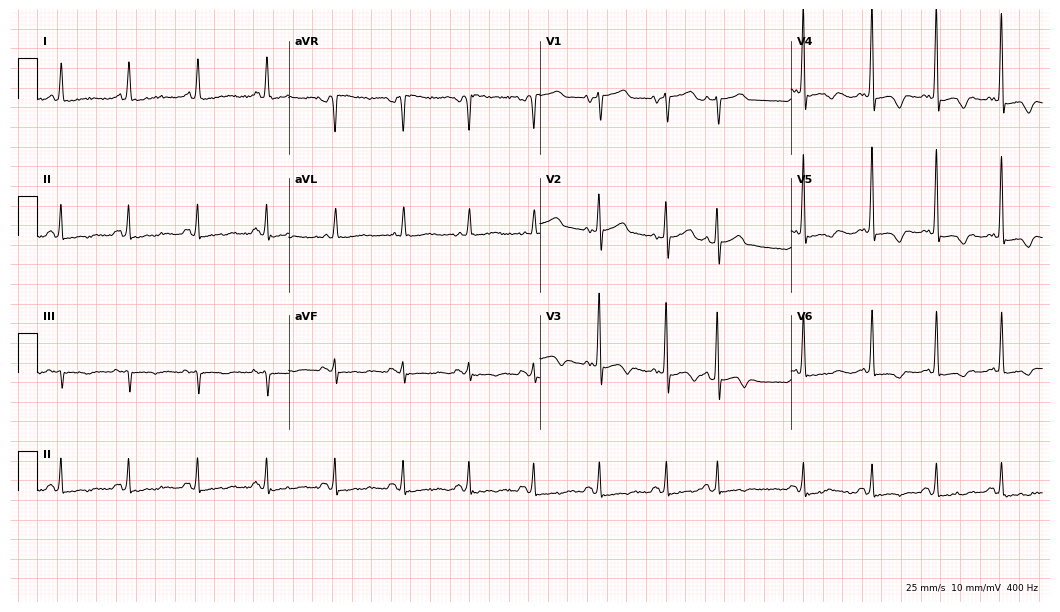
12-lead ECG from a 75-year-old woman. Screened for six findings — first-degree AV block, right bundle branch block, left bundle branch block, sinus bradycardia, atrial fibrillation, sinus tachycardia — none is recorded.